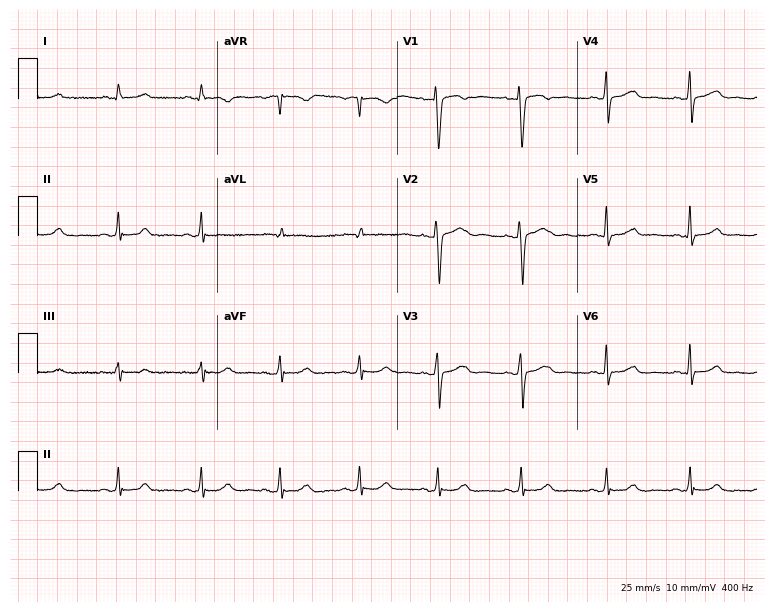
12-lead ECG (7.3-second recording at 400 Hz) from a female, 42 years old. Screened for six findings — first-degree AV block, right bundle branch block, left bundle branch block, sinus bradycardia, atrial fibrillation, sinus tachycardia — none is recorded. Findings outside these six are not listed.